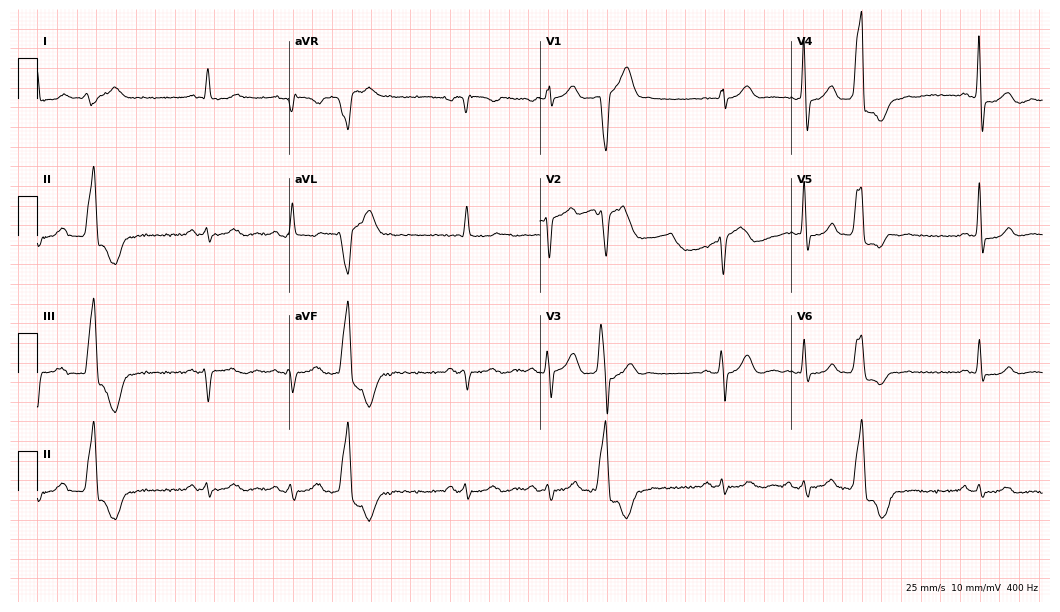
Electrocardiogram, a man, 61 years old. Of the six screened findings (first-degree AV block, right bundle branch block (RBBB), left bundle branch block (LBBB), sinus bradycardia, atrial fibrillation (AF), sinus tachycardia), none is recorded.